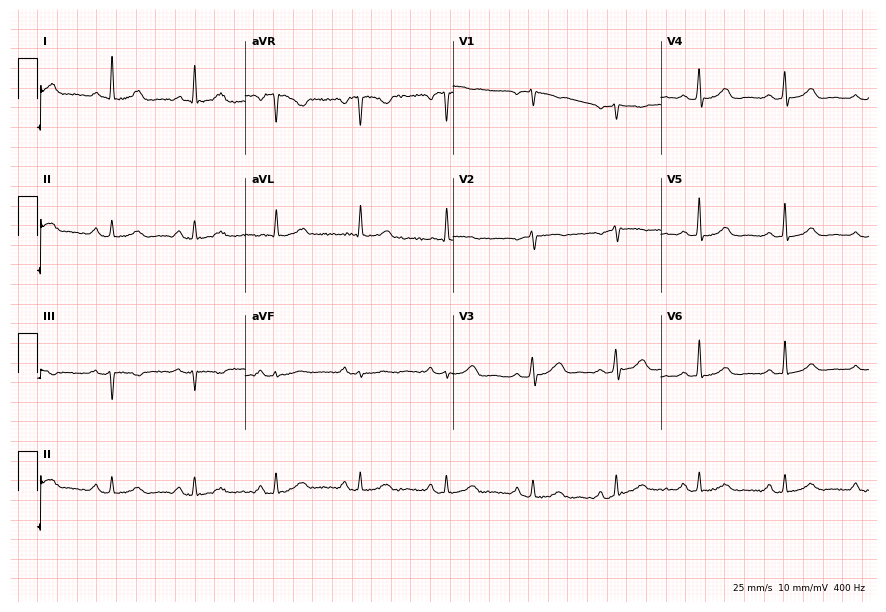
Resting 12-lead electrocardiogram (8.5-second recording at 400 Hz). Patient: a 59-year-old female. None of these six findings is recorded: first-degree AV block, right bundle branch block, left bundle branch block, sinus bradycardia, atrial fibrillation, sinus tachycardia.